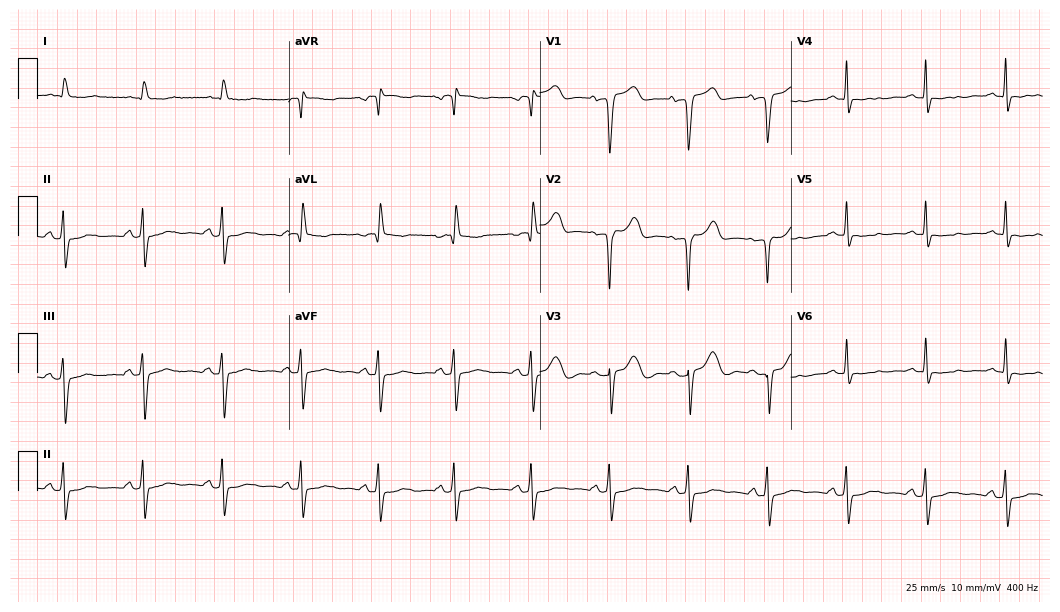
12-lead ECG from a female, 72 years old. Screened for six findings — first-degree AV block, right bundle branch block, left bundle branch block, sinus bradycardia, atrial fibrillation, sinus tachycardia — none is recorded. Other findings, if any, are not listed.